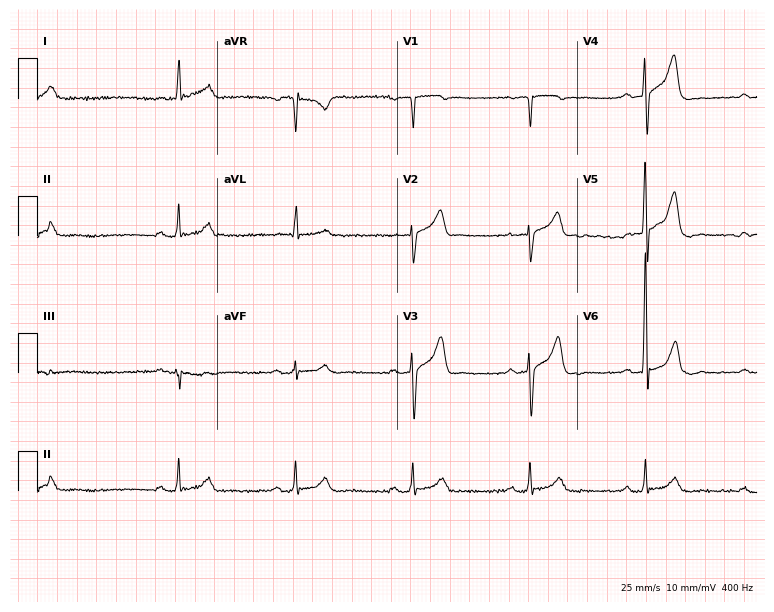
Electrocardiogram (7.3-second recording at 400 Hz), a male, 77 years old. Interpretation includes first-degree AV block.